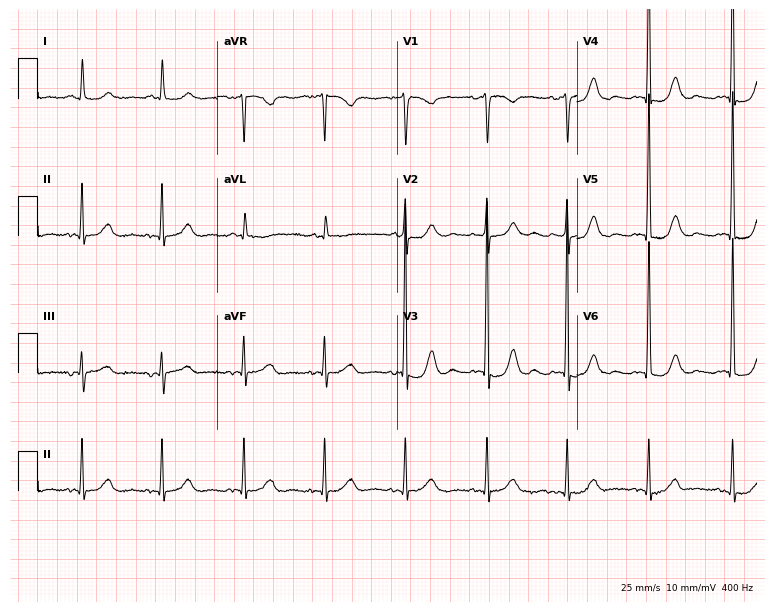
12-lead ECG from a 75-year-old female. No first-degree AV block, right bundle branch block, left bundle branch block, sinus bradycardia, atrial fibrillation or sinus tachycardia recorded for this tracing. Other findings, if any, are not listed.